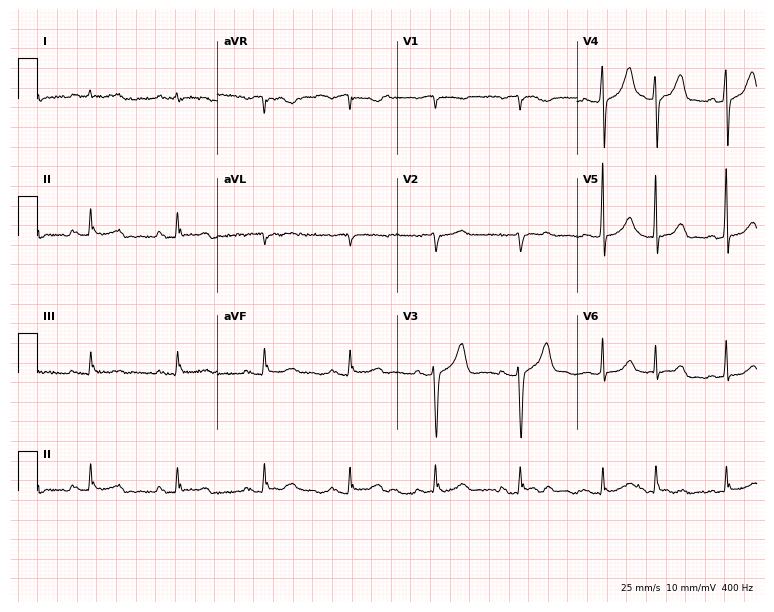
ECG (7.3-second recording at 400 Hz) — a 72-year-old male. Screened for six findings — first-degree AV block, right bundle branch block, left bundle branch block, sinus bradycardia, atrial fibrillation, sinus tachycardia — none is recorded.